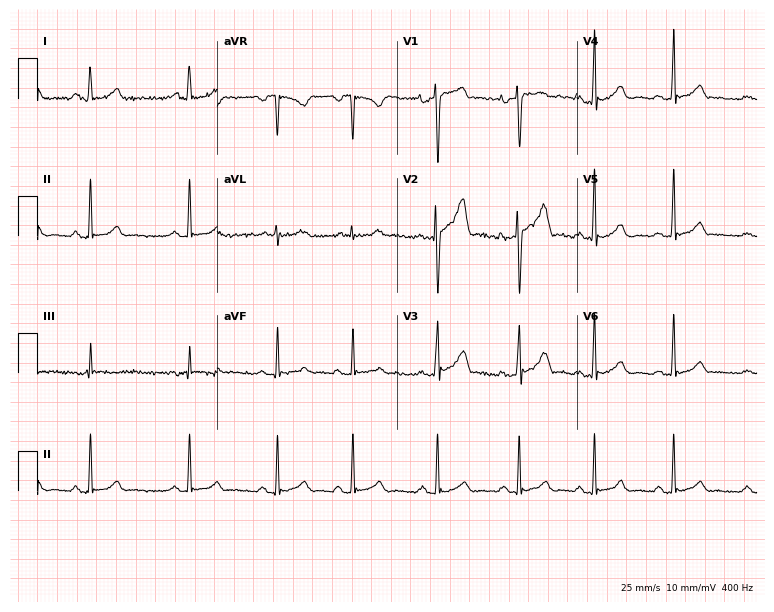
Standard 12-lead ECG recorded from a 42-year-old man. Read as a normal ECG.